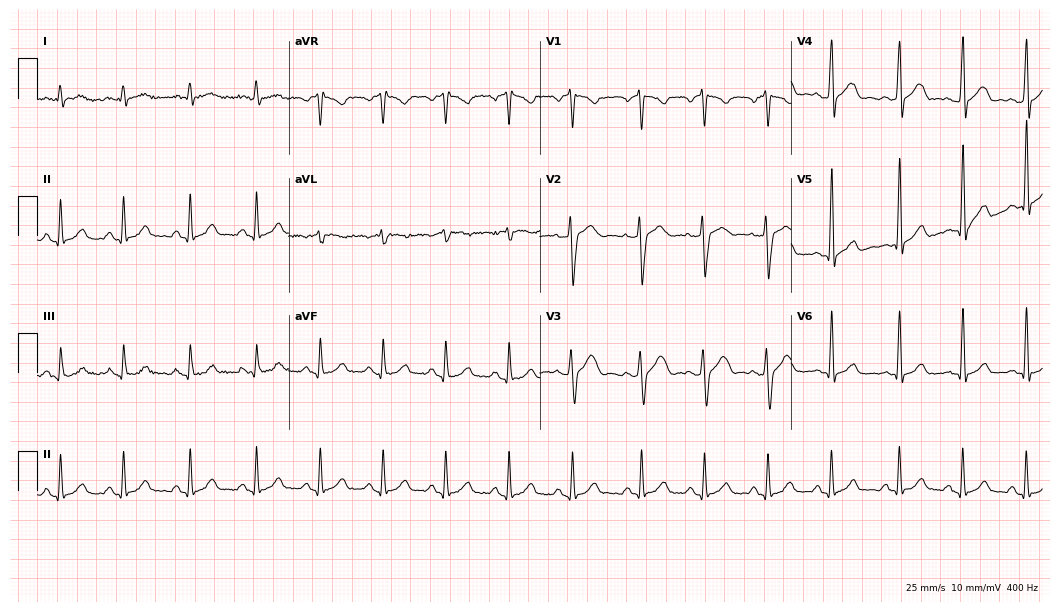
Standard 12-lead ECG recorded from a 39-year-old male patient. Read as a normal ECG.